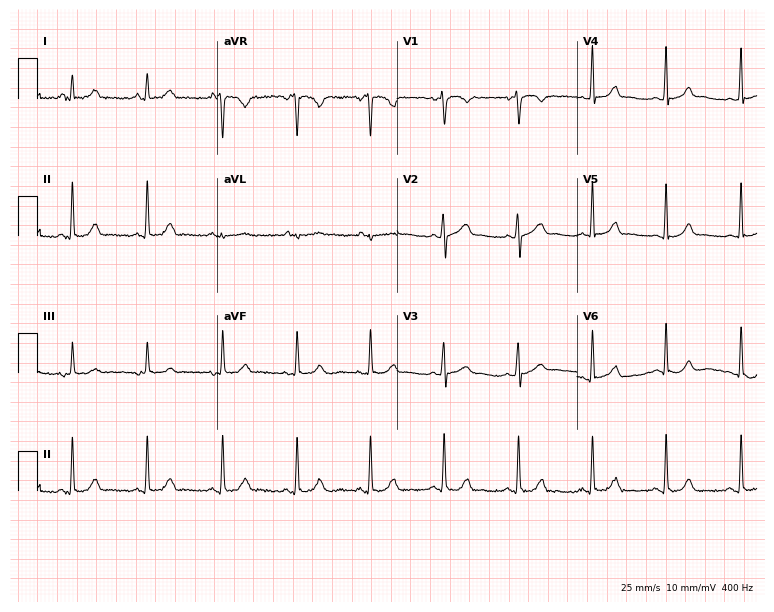
Electrocardiogram (7.3-second recording at 400 Hz), a 37-year-old female. Of the six screened findings (first-degree AV block, right bundle branch block, left bundle branch block, sinus bradycardia, atrial fibrillation, sinus tachycardia), none is recorded. Only these six findings were labelled.